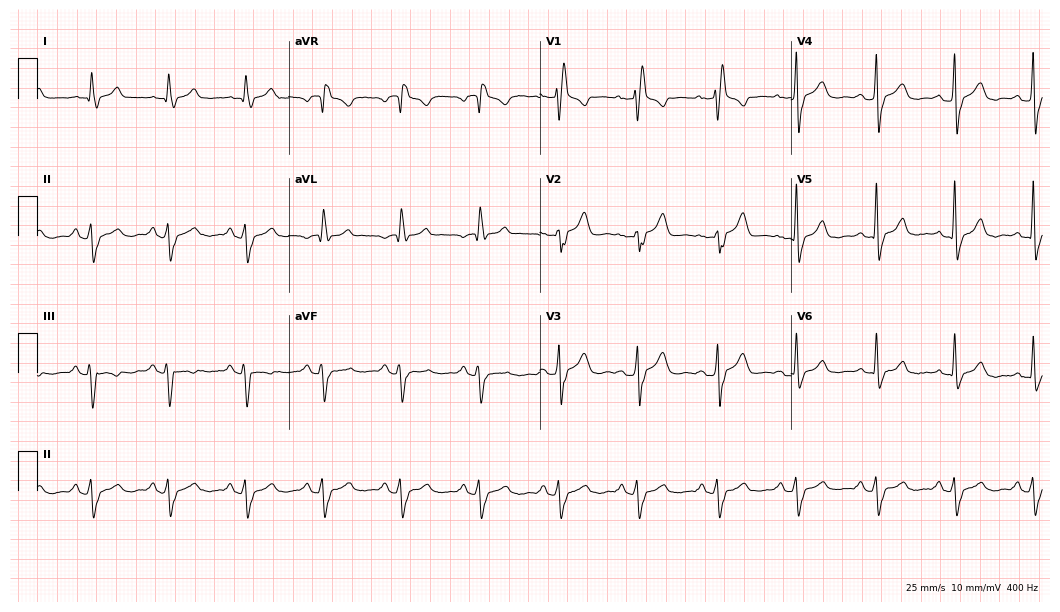
ECG (10.2-second recording at 400 Hz) — a 63-year-old male patient. Findings include right bundle branch block (RBBB).